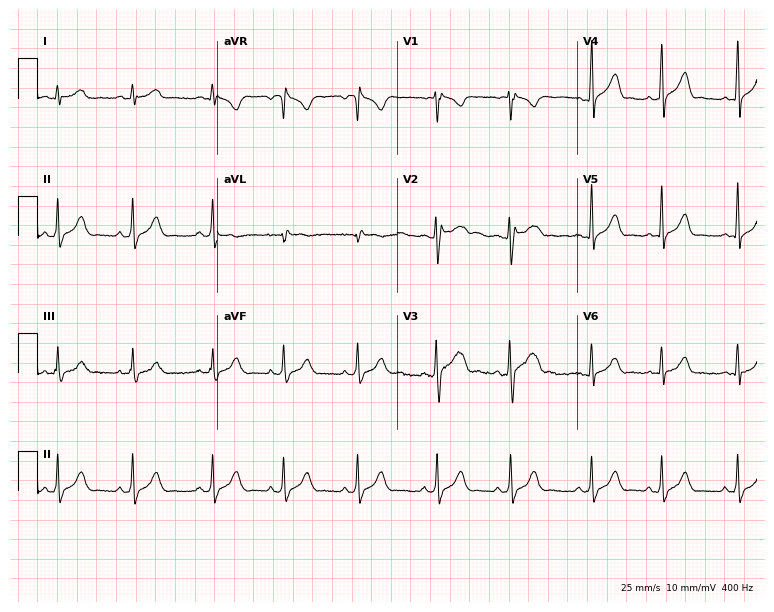
ECG — a 21-year-old male. Screened for six findings — first-degree AV block, right bundle branch block (RBBB), left bundle branch block (LBBB), sinus bradycardia, atrial fibrillation (AF), sinus tachycardia — none is recorded. Only these six findings were labelled.